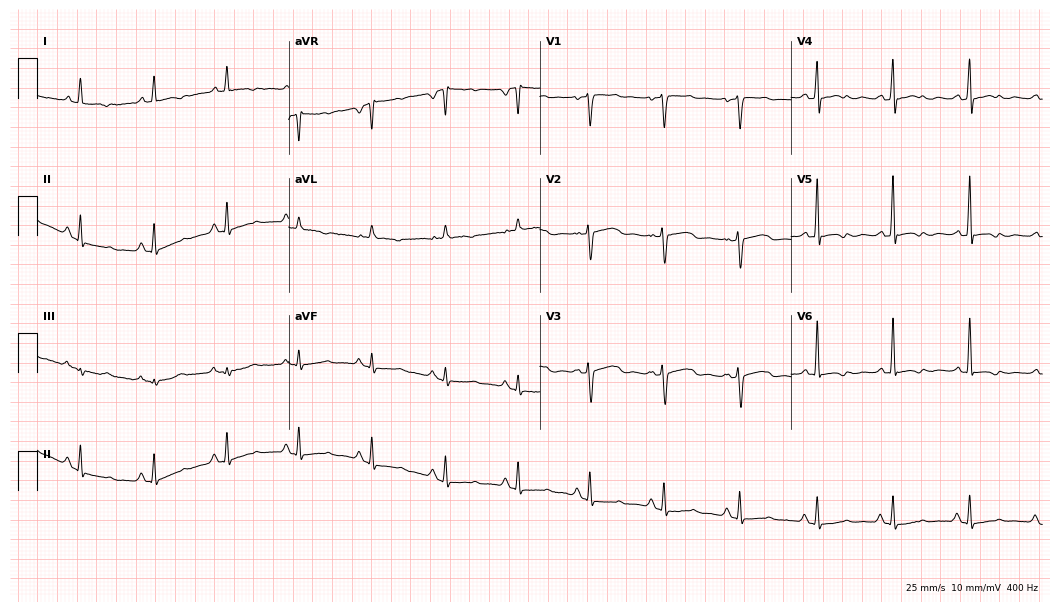
Resting 12-lead electrocardiogram. Patient: a female, 57 years old. None of these six findings is recorded: first-degree AV block, right bundle branch block (RBBB), left bundle branch block (LBBB), sinus bradycardia, atrial fibrillation (AF), sinus tachycardia. Only these six findings were labelled.